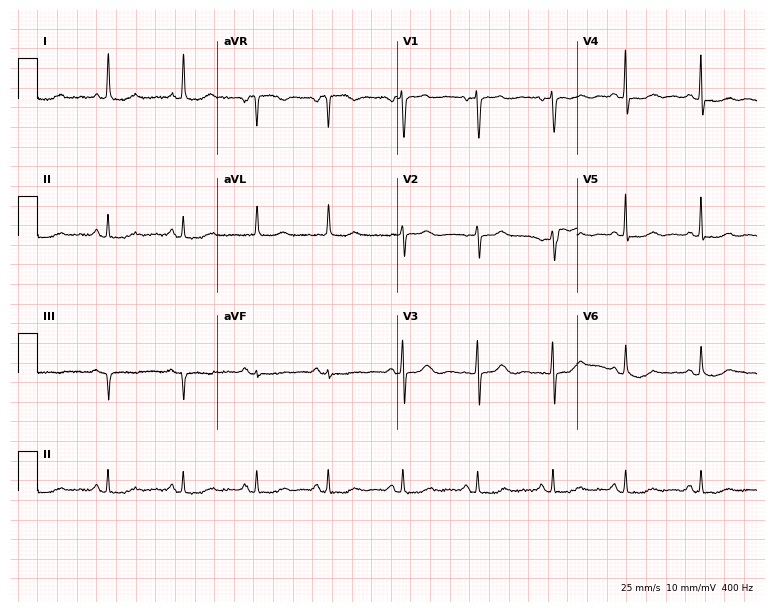
ECG (7.3-second recording at 400 Hz) — a female patient, 76 years old. Screened for six findings — first-degree AV block, right bundle branch block (RBBB), left bundle branch block (LBBB), sinus bradycardia, atrial fibrillation (AF), sinus tachycardia — none is recorded.